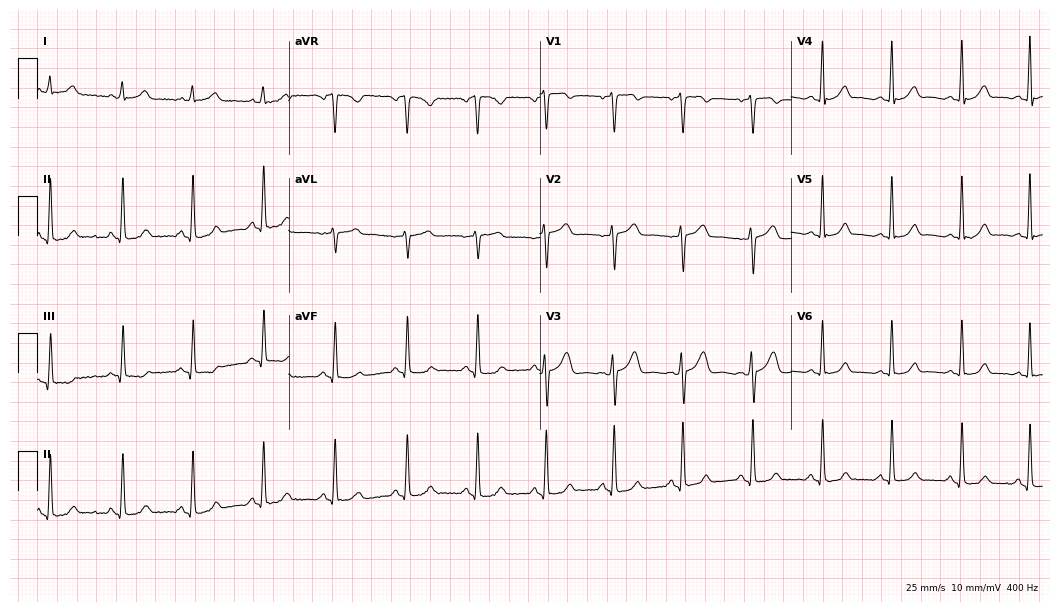
Standard 12-lead ECG recorded from a female patient, 42 years old (10.2-second recording at 400 Hz). Read as a normal ECG.